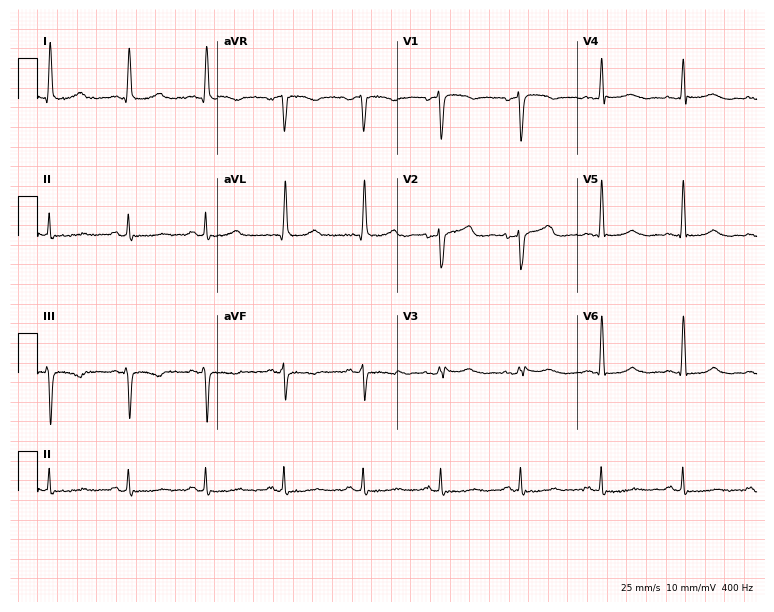
12-lead ECG from a woman, 54 years old. Recorded interpretation: within normal limits.